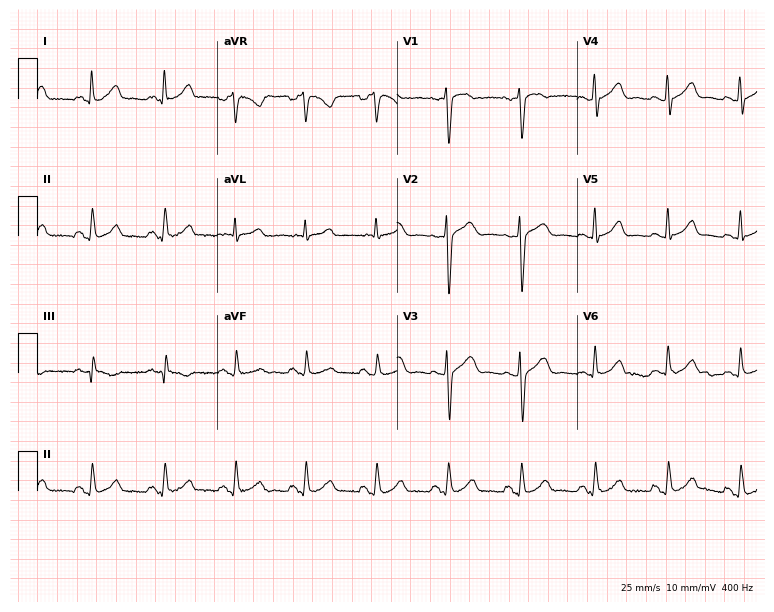
Electrocardiogram (7.3-second recording at 400 Hz), a 31-year-old female. Of the six screened findings (first-degree AV block, right bundle branch block, left bundle branch block, sinus bradycardia, atrial fibrillation, sinus tachycardia), none is recorded.